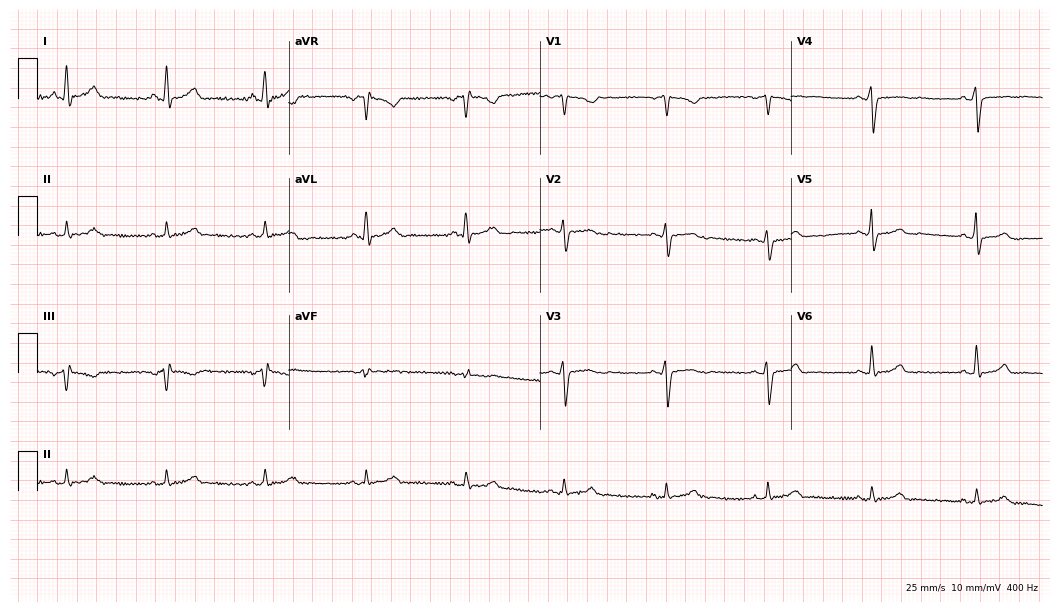
ECG — a female patient, 47 years old. Screened for six findings — first-degree AV block, right bundle branch block (RBBB), left bundle branch block (LBBB), sinus bradycardia, atrial fibrillation (AF), sinus tachycardia — none is recorded. Findings outside these six are not listed.